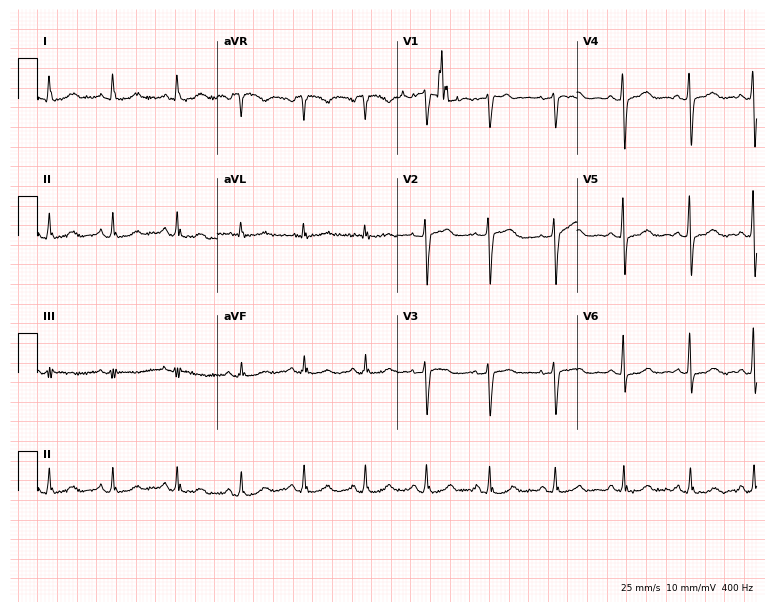
12-lead ECG from a 49-year-old female patient (7.3-second recording at 400 Hz). Recorded interpretation: within normal limits.